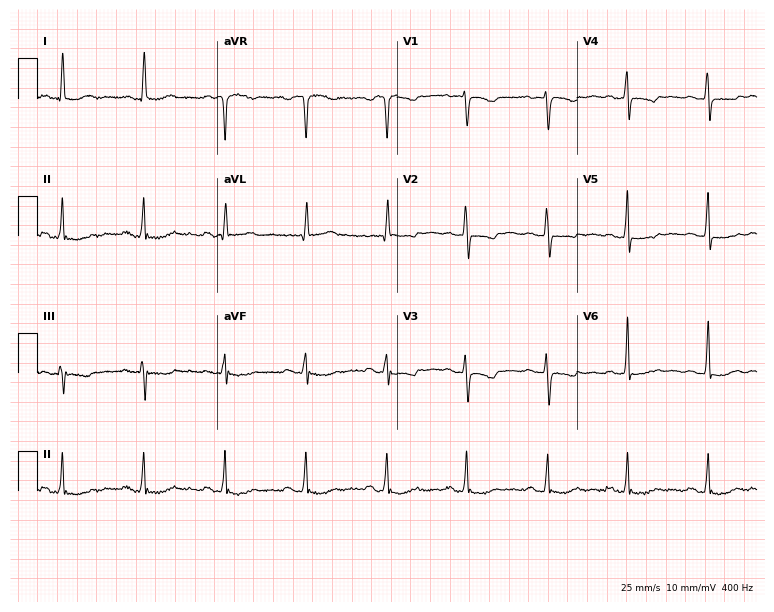
12-lead ECG from a 54-year-old female. No first-degree AV block, right bundle branch block, left bundle branch block, sinus bradycardia, atrial fibrillation or sinus tachycardia recorded for this tracing.